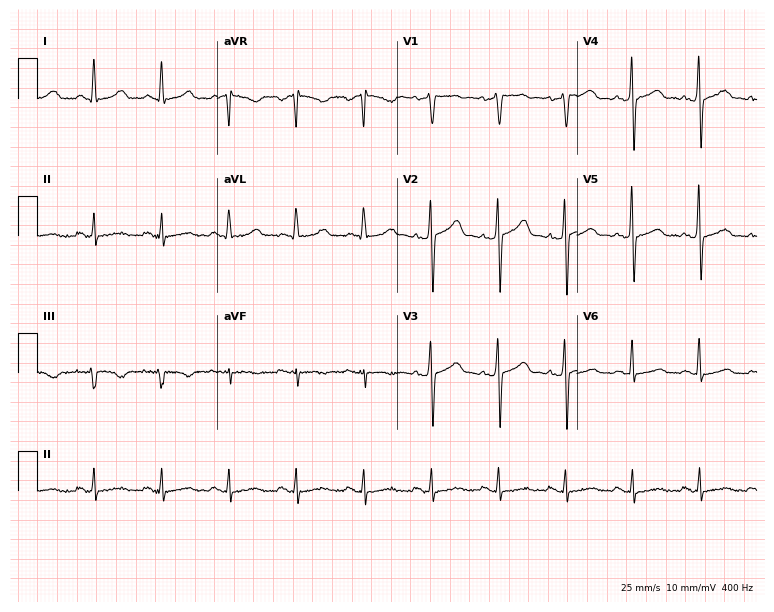
Electrocardiogram, a woman, 54 years old. Of the six screened findings (first-degree AV block, right bundle branch block, left bundle branch block, sinus bradycardia, atrial fibrillation, sinus tachycardia), none is recorded.